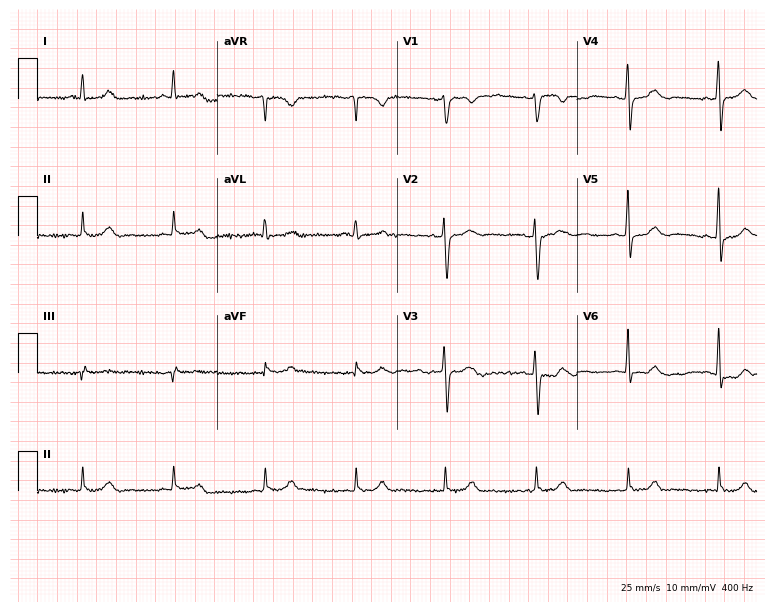
Electrocardiogram, a 48-year-old female patient. Of the six screened findings (first-degree AV block, right bundle branch block (RBBB), left bundle branch block (LBBB), sinus bradycardia, atrial fibrillation (AF), sinus tachycardia), none is recorded. Other findings, if any, are not listed.